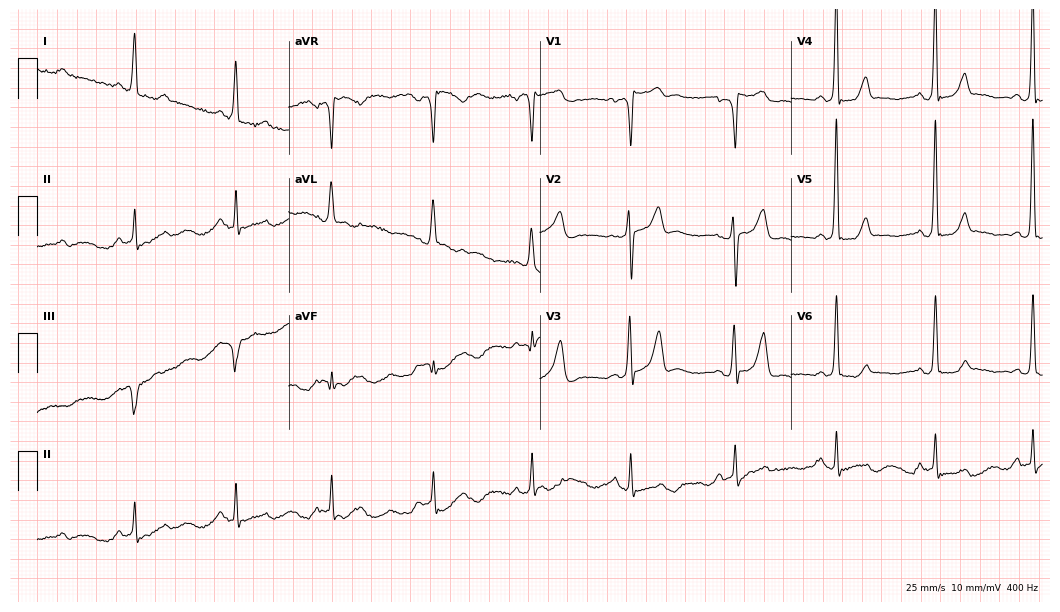
Resting 12-lead electrocardiogram (10.2-second recording at 400 Hz). Patient: a 45-year-old man. Read as a normal ECG.